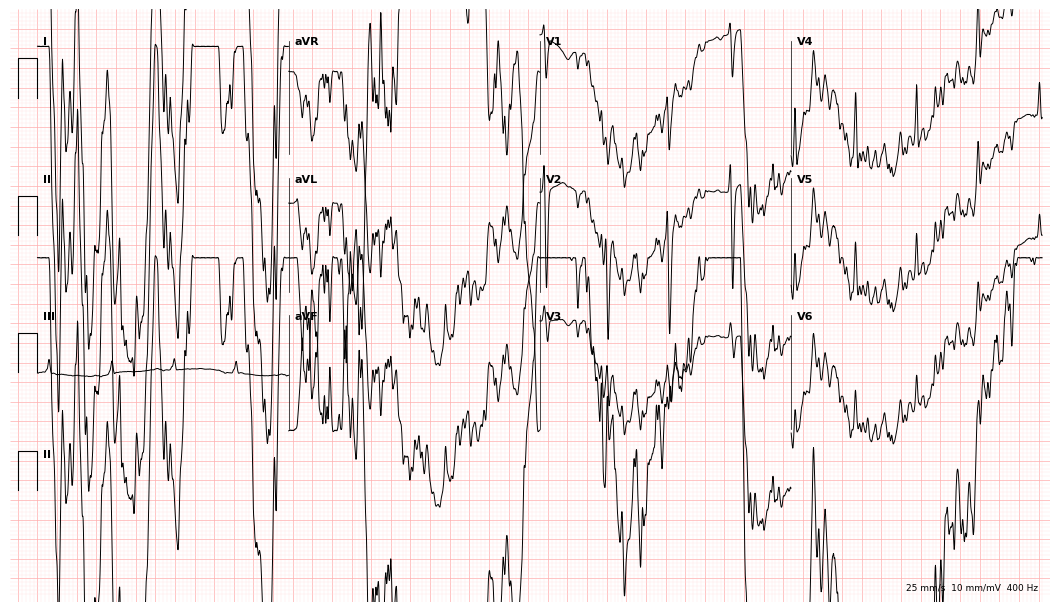
12-lead ECG from a woman, 22 years old (10.2-second recording at 400 Hz). No first-degree AV block, right bundle branch block, left bundle branch block, sinus bradycardia, atrial fibrillation or sinus tachycardia recorded for this tracing.